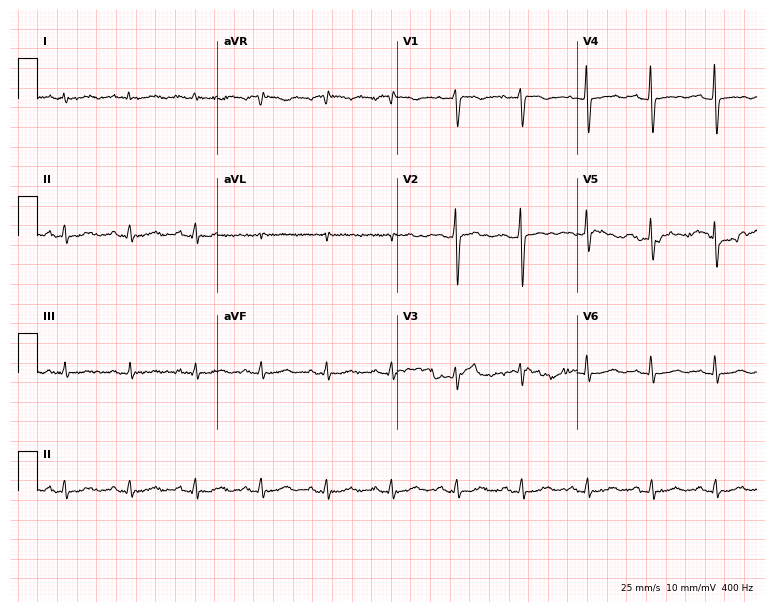
Standard 12-lead ECG recorded from a 53-year-old woman. None of these six findings is recorded: first-degree AV block, right bundle branch block, left bundle branch block, sinus bradycardia, atrial fibrillation, sinus tachycardia. Findings outside these six are not listed.